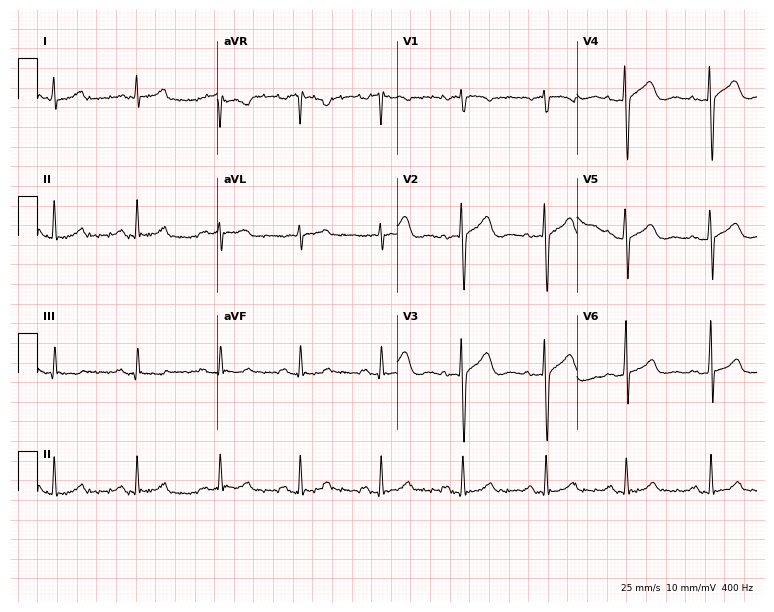
12-lead ECG from a female patient, 40 years old (7.3-second recording at 400 Hz). No first-degree AV block, right bundle branch block, left bundle branch block, sinus bradycardia, atrial fibrillation or sinus tachycardia recorded for this tracing. Other findings, if any, are not listed.